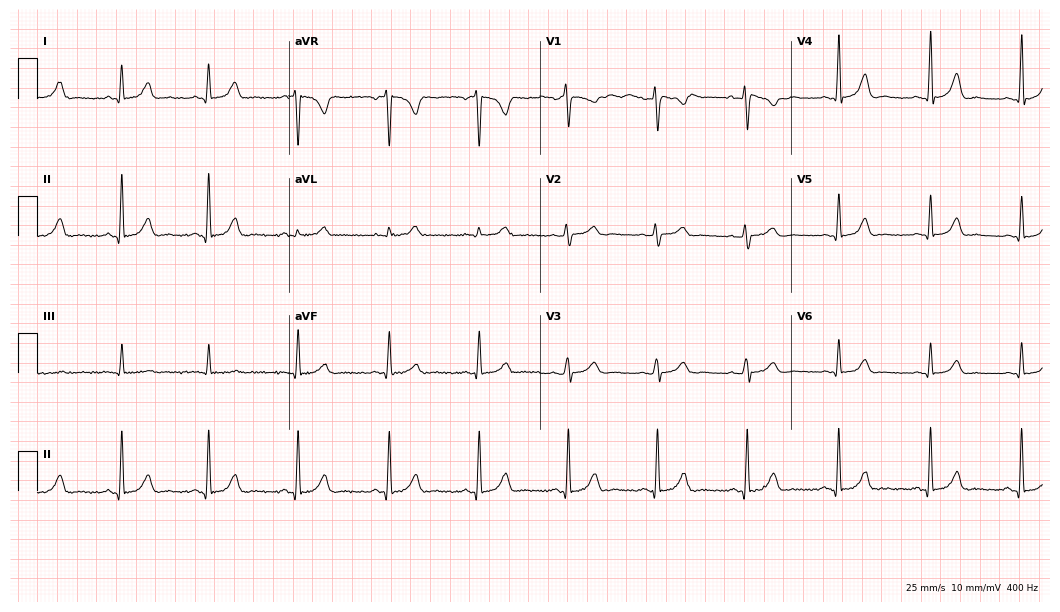
Standard 12-lead ECG recorded from a 46-year-old female patient (10.2-second recording at 400 Hz). Read as a normal ECG.